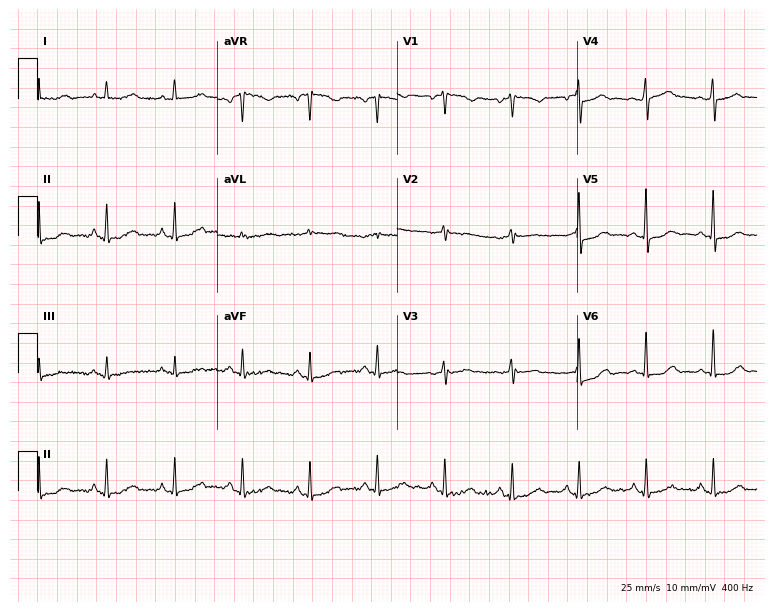
Standard 12-lead ECG recorded from a 53-year-old female (7.3-second recording at 400 Hz). Read as a normal ECG.